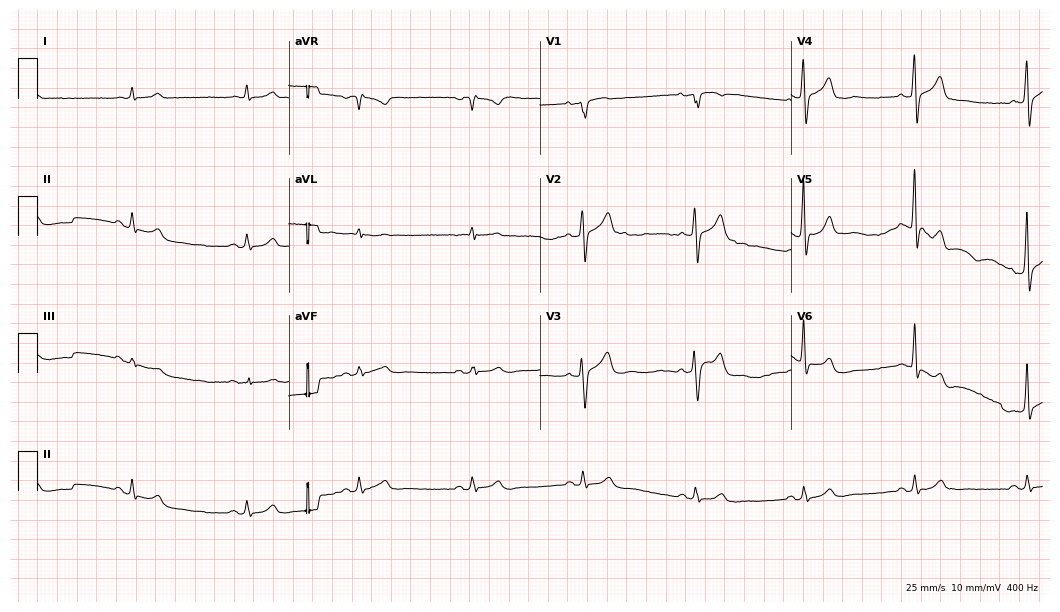
Electrocardiogram, a 59-year-old man. Overall reading on record: normal ECG.